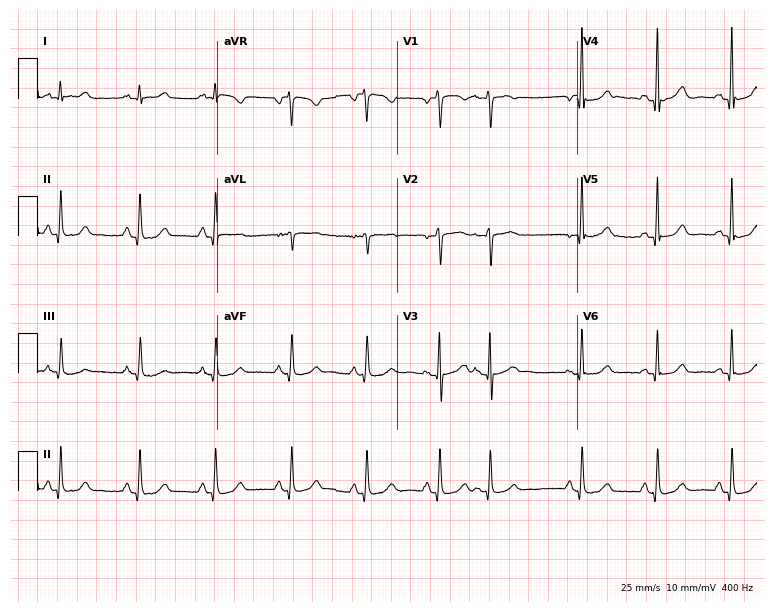
12-lead ECG from a female, 56 years old. Labelled as a normal ECG.